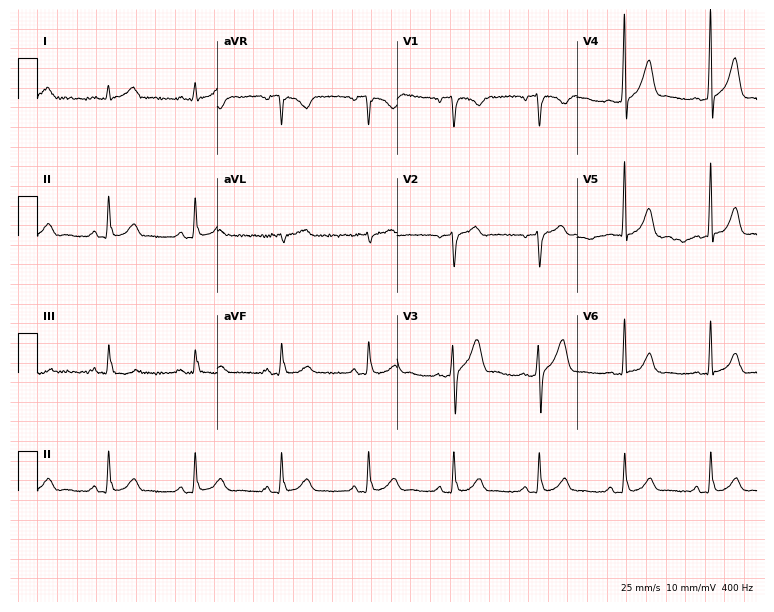
Standard 12-lead ECG recorded from a male patient, 36 years old (7.3-second recording at 400 Hz). None of these six findings is recorded: first-degree AV block, right bundle branch block, left bundle branch block, sinus bradycardia, atrial fibrillation, sinus tachycardia. Findings outside these six are not listed.